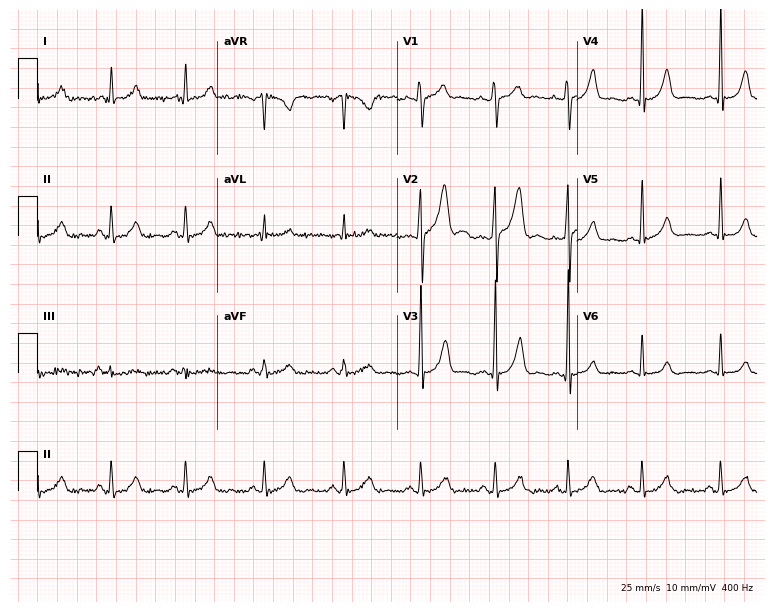
Resting 12-lead electrocardiogram (7.3-second recording at 400 Hz). Patient: a 31-year-old male. Read as a normal ECG.